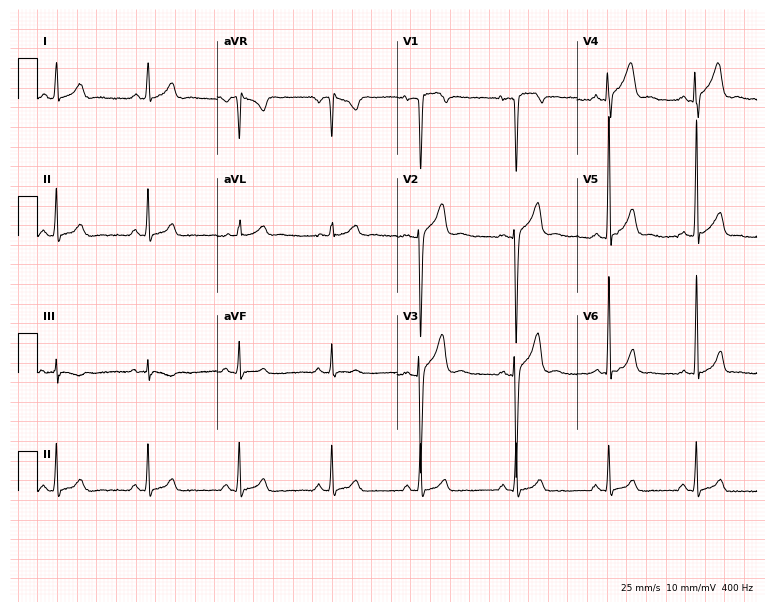
Standard 12-lead ECG recorded from a male, 21 years old (7.3-second recording at 400 Hz). Read as a normal ECG.